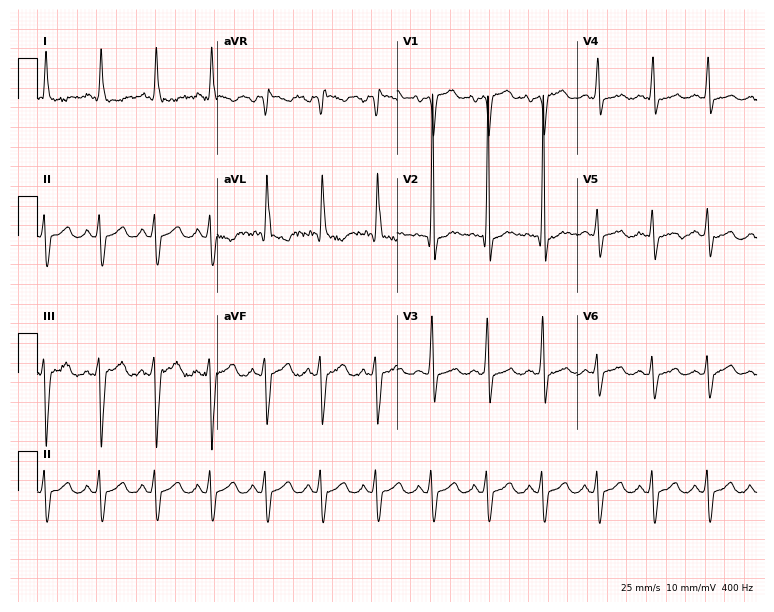
Resting 12-lead electrocardiogram (7.3-second recording at 400 Hz). Patient: a man, 70 years old. The tracing shows sinus tachycardia (a sinus rate of 100 beats per minute or more).